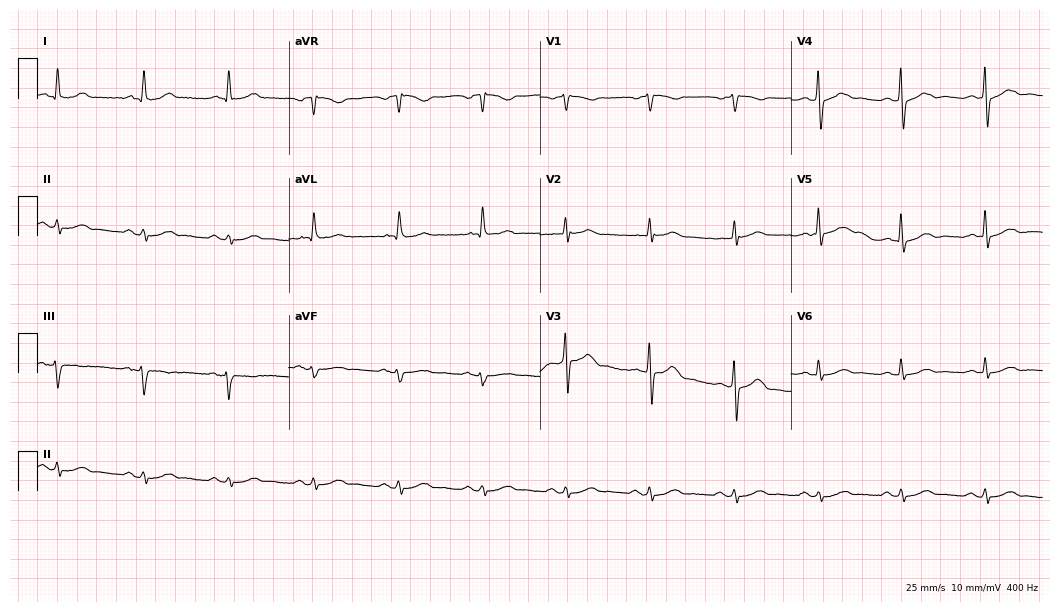
Electrocardiogram (10.2-second recording at 400 Hz), a 73-year-old man. Overall reading on record: normal ECG.